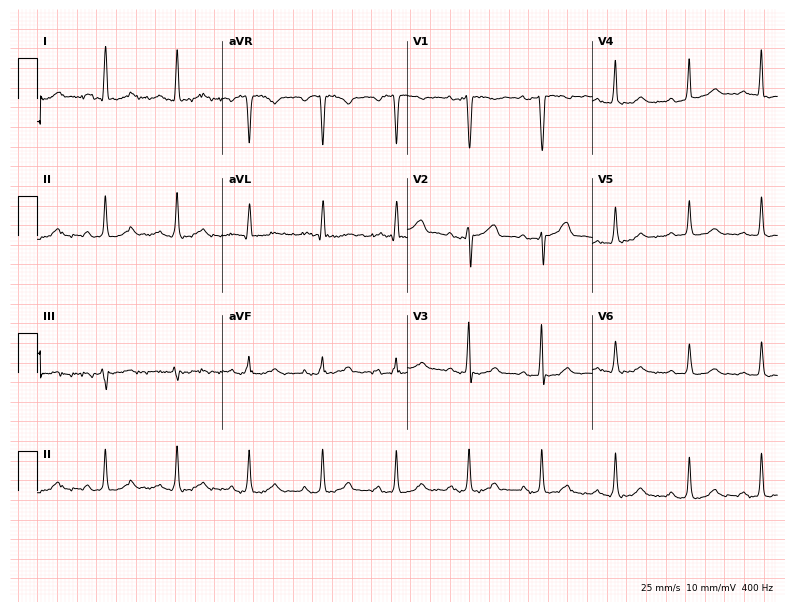
Resting 12-lead electrocardiogram (7.5-second recording at 400 Hz). Patient: a woman, 64 years old. None of these six findings is recorded: first-degree AV block, right bundle branch block (RBBB), left bundle branch block (LBBB), sinus bradycardia, atrial fibrillation (AF), sinus tachycardia.